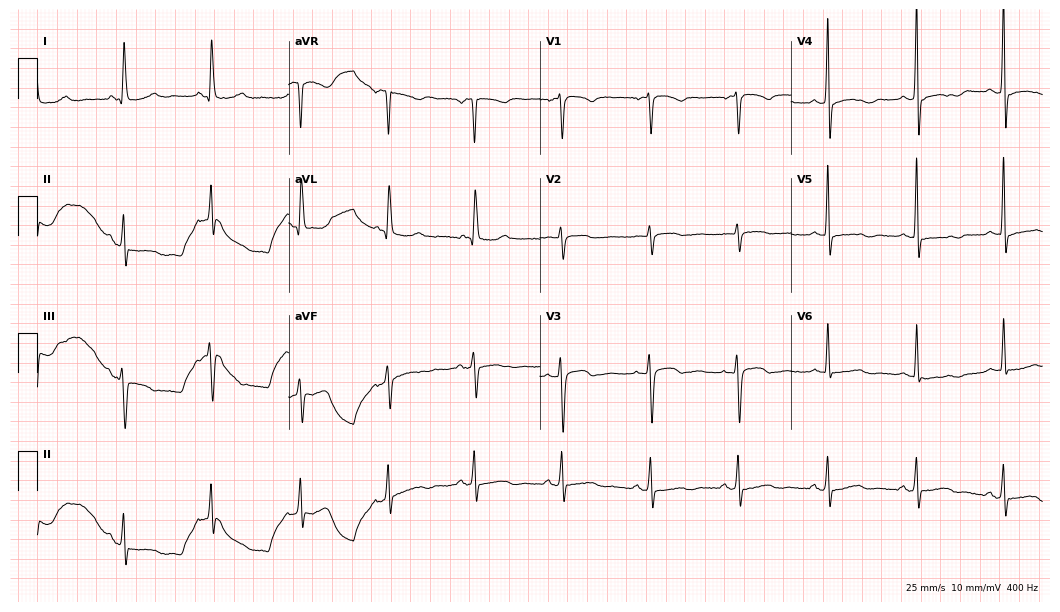
Electrocardiogram (10.2-second recording at 400 Hz), a 55-year-old male patient. Of the six screened findings (first-degree AV block, right bundle branch block, left bundle branch block, sinus bradycardia, atrial fibrillation, sinus tachycardia), none is recorded.